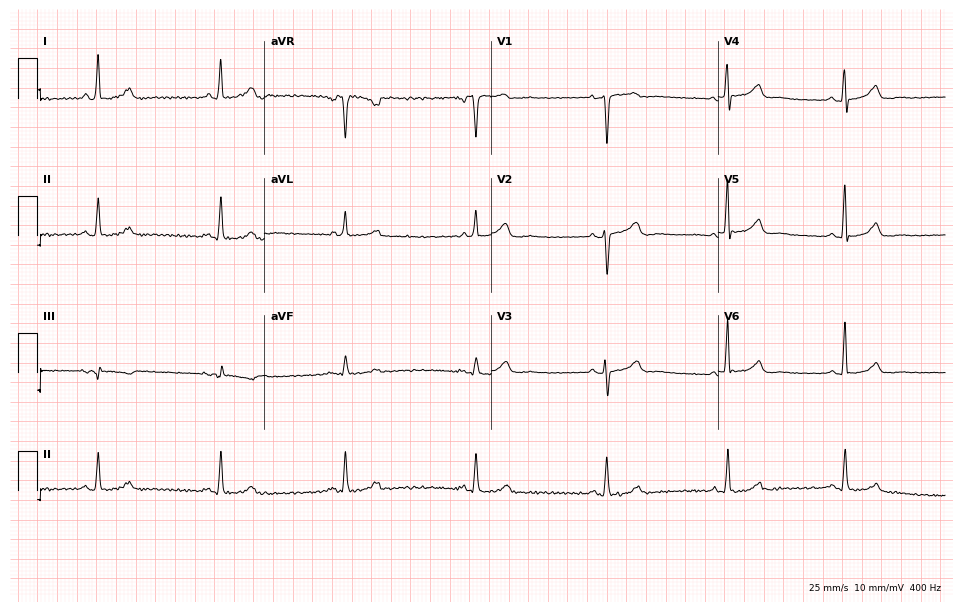
ECG — a female patient, 48 years old. Findings include sinus bradycardia (a sinus rate of 50 beats per minute or less).